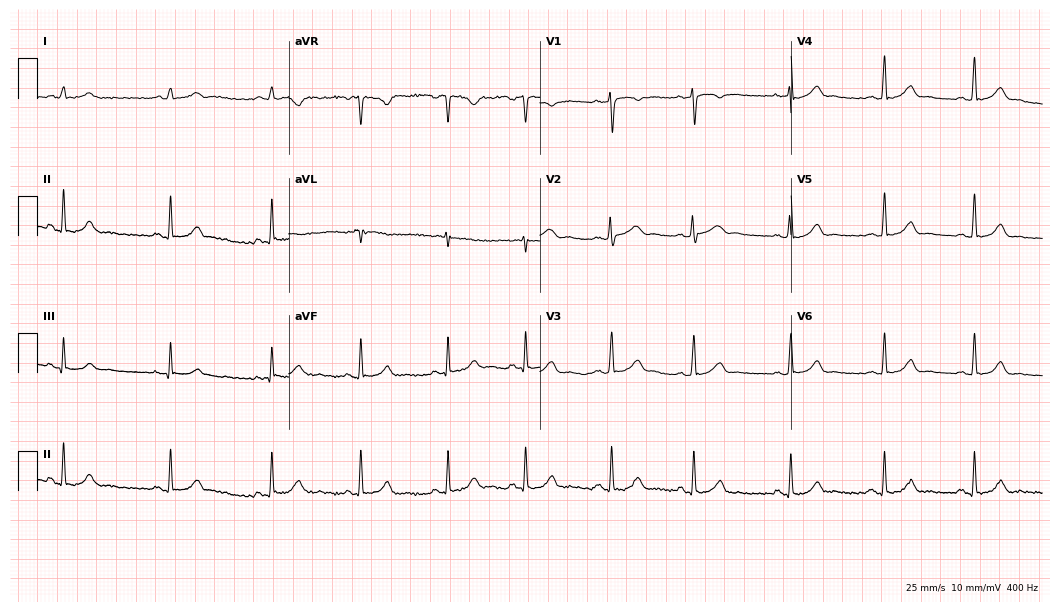
Resting 12-lead electrocardiogram. Patient: a female, 26 years old. Read as a normal ECG.